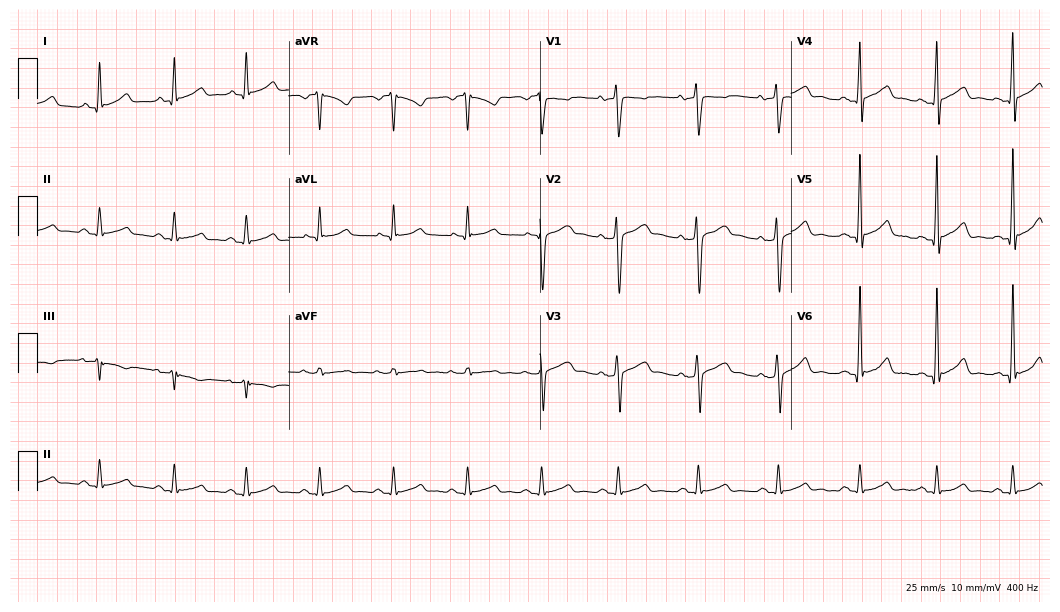
Resting 12-lead electrocardiogram (10.2-second recording at 400 Hz). Patient: a male, 50 years old. Read as a normal ECG.